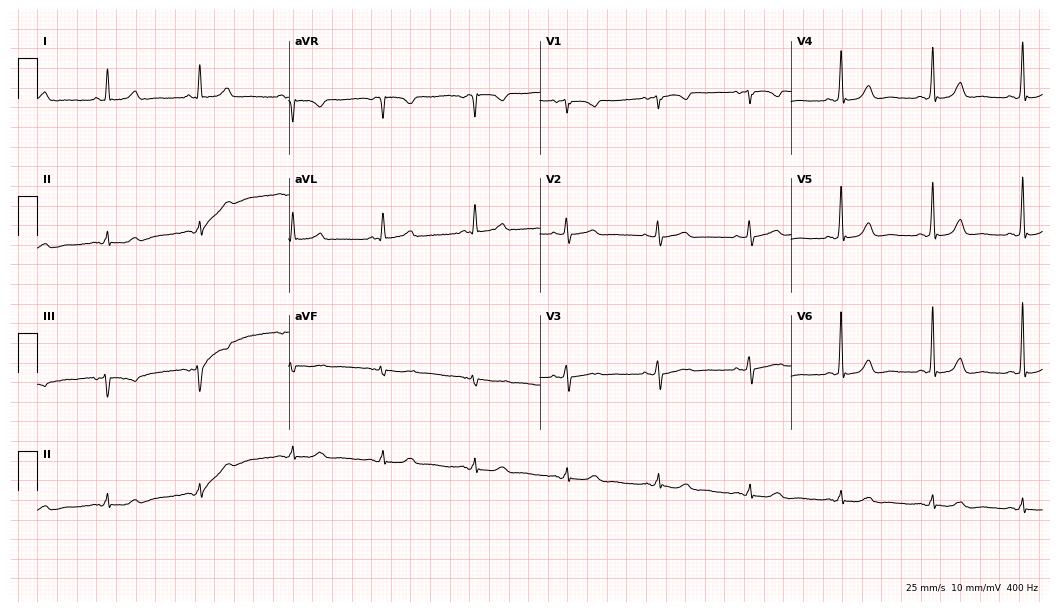
ECG (10.2-second recording at 400 Hz) — a 68-year-old woman. Labelled as a normal ECG.